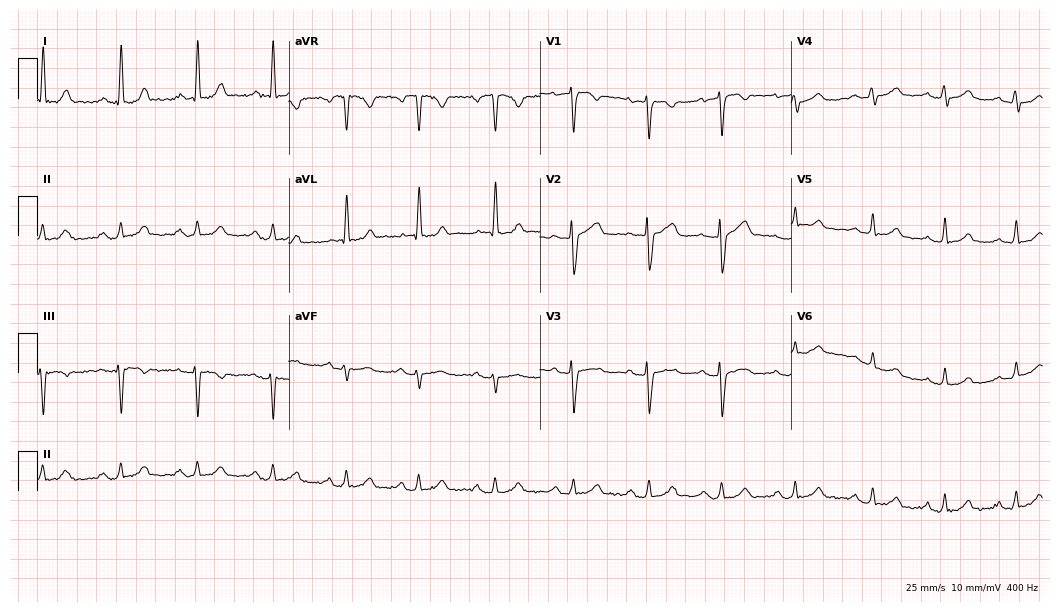
12-lead ECG from a female patient, 48 years old. Labelled as a normal ECG.